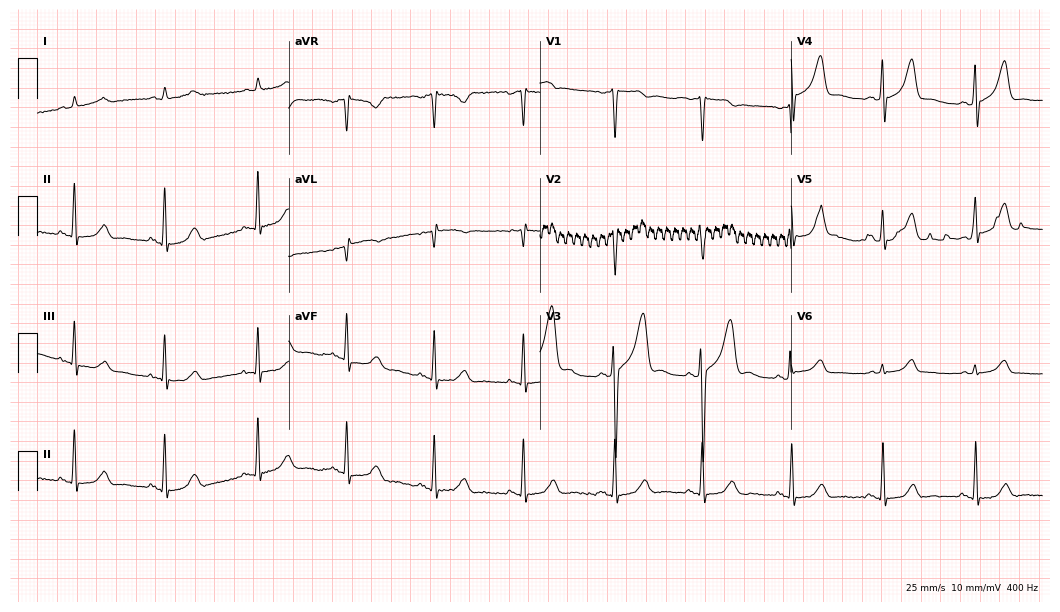
12-lead ECG from a 77-year-old male patient. Labelled as a normal ECG.